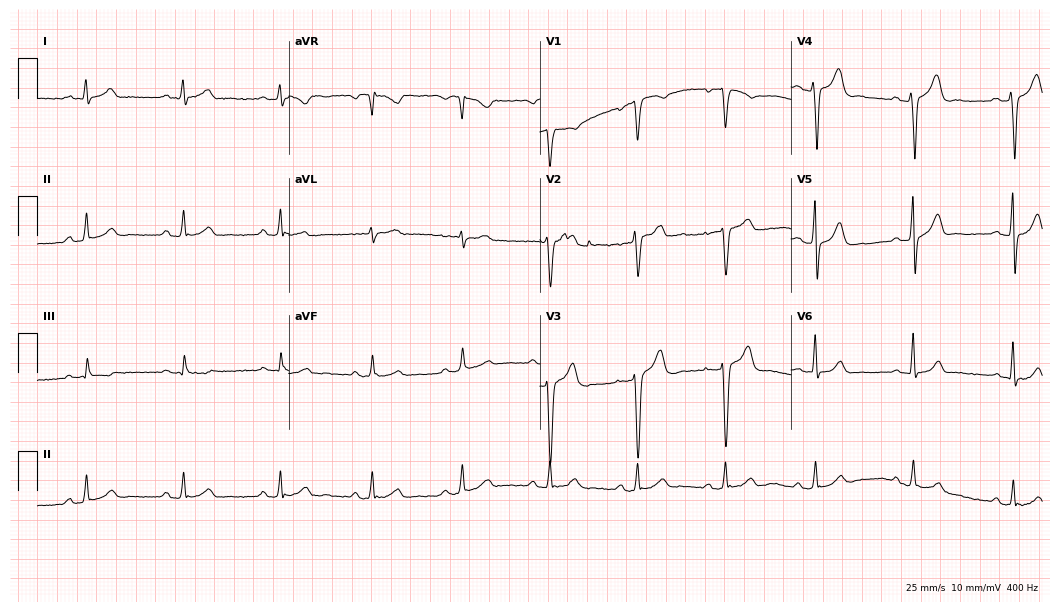
12-lead ECG from a male patient, 46 years old. Labelled as a normal ECG.